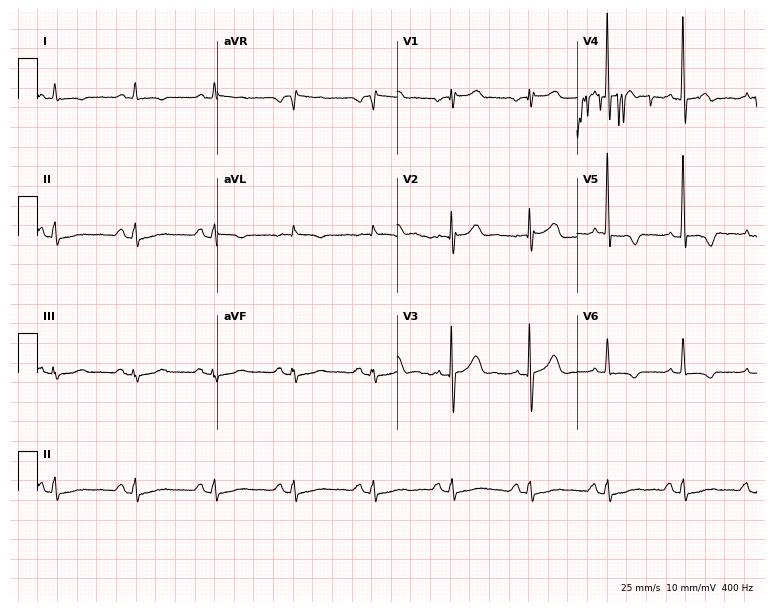
12-lead ECG from a male, 79 years old (7.3-second recording at 400 Hz). No first-degree AV block, right bundle branch block (RBBB), left bundle branch block (LBBB), sinus bradycardia, atrial fibrillation (AF) or sinus tachycardia recorded for this tracing.